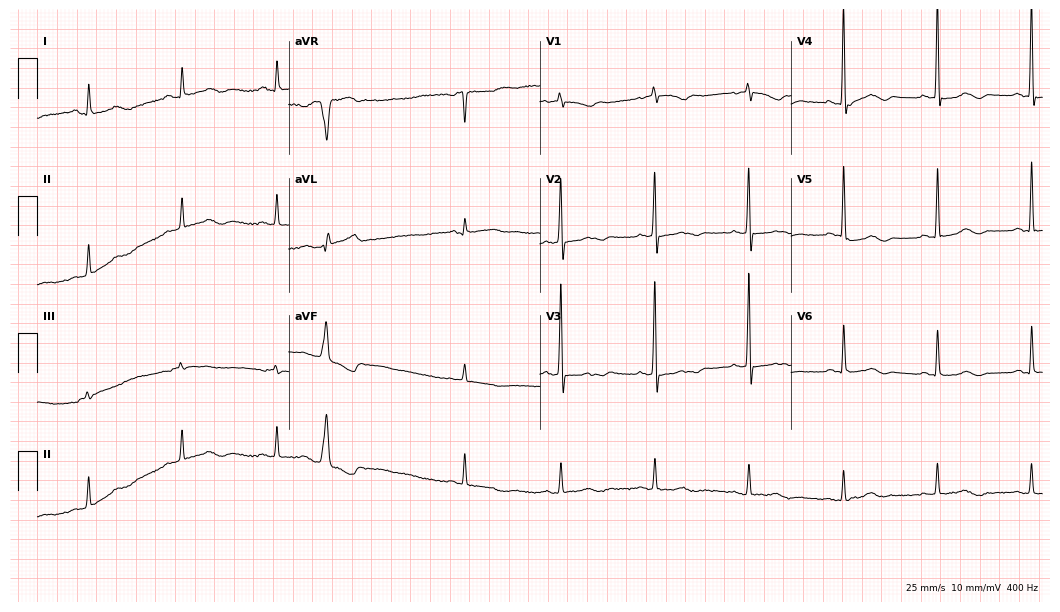
Electrocardiogram (10.2-second recording at 400 Hz), a woman, 76 years old. Of the six screened findings (first-degree AV block, right bundle branch block, left bundle branch block, sinus bradycardia, atrial fibrillation, sinus tachycardia), none is recorded. Only these six findings were labelled.